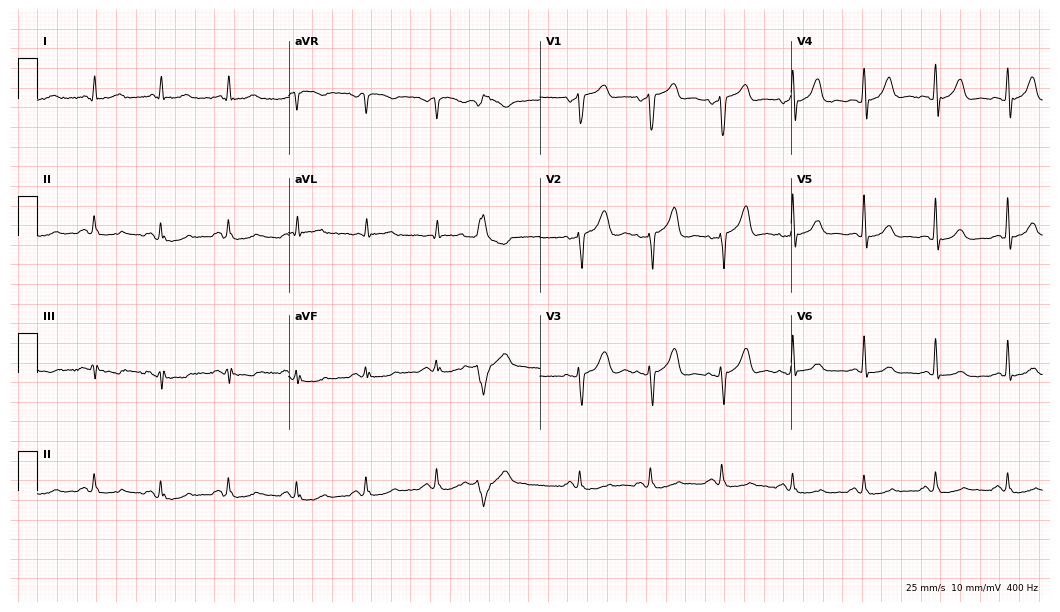
12-lead ECG (10.2-second recording at 400 Hz) from an 81-year-old male patient. Labelled as a normal ECG.